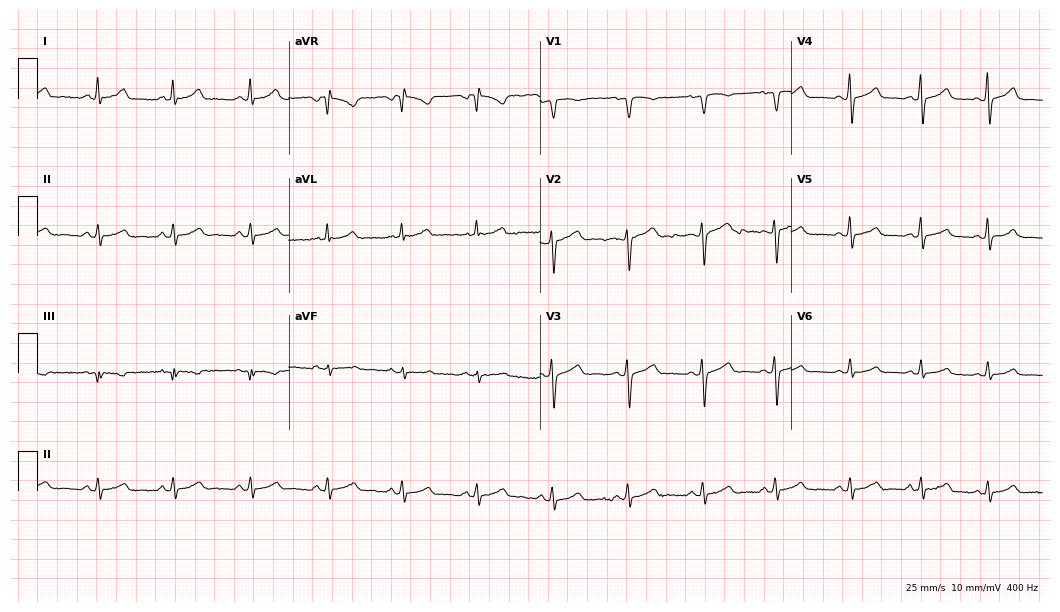
12-lead ECG from a woman, 34 years old. Labelled as a normal ECG.